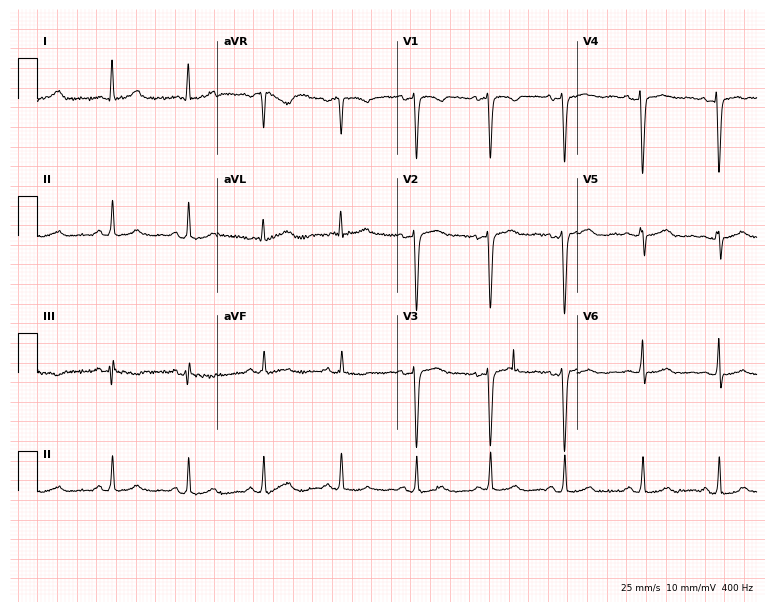
Standard 12-lead ECG recorded from a 39-year-old female. None of these six findings is recorded: first-degree AV block, right bundle branch block, left bundle branch block, sinus bradycardia, atrial fibrillation, sinus tachycardia. Findings outside these six are not listed.